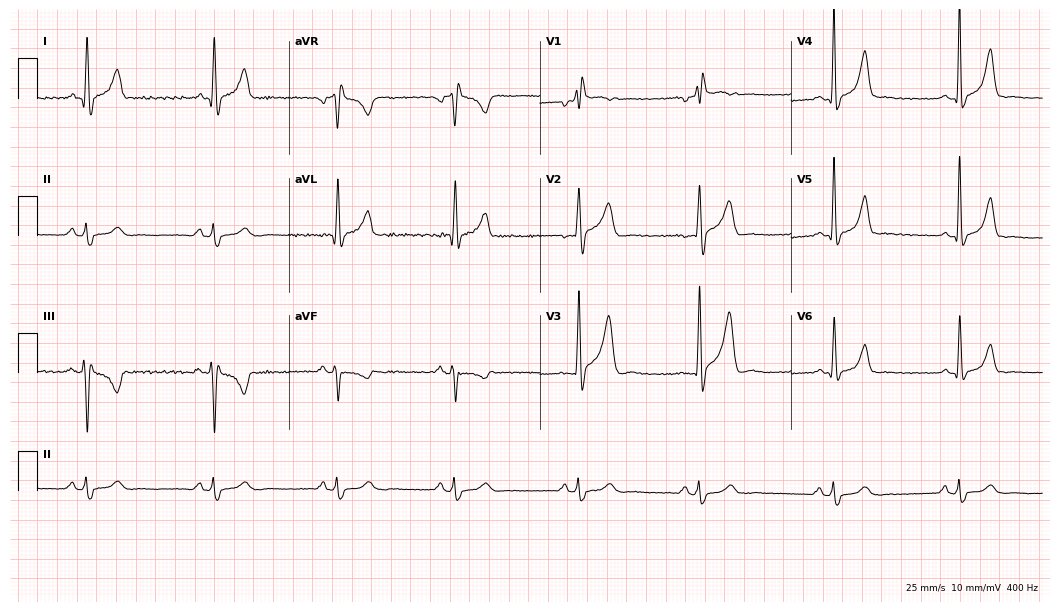
12-lead ECG from a 44-year-old man (10.2-second recording at 400 Hz). Shows right bundle branch block.